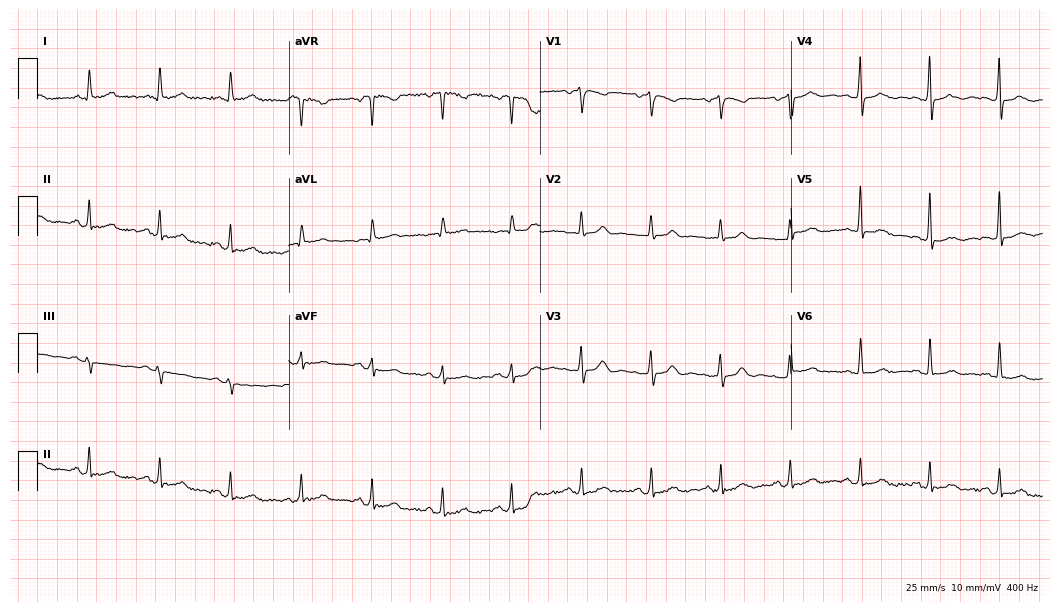
12-lead ECG from a 78-year-old male patient (10.2-second recording at 400 Hz). Recorded interpretation: within normal limits.